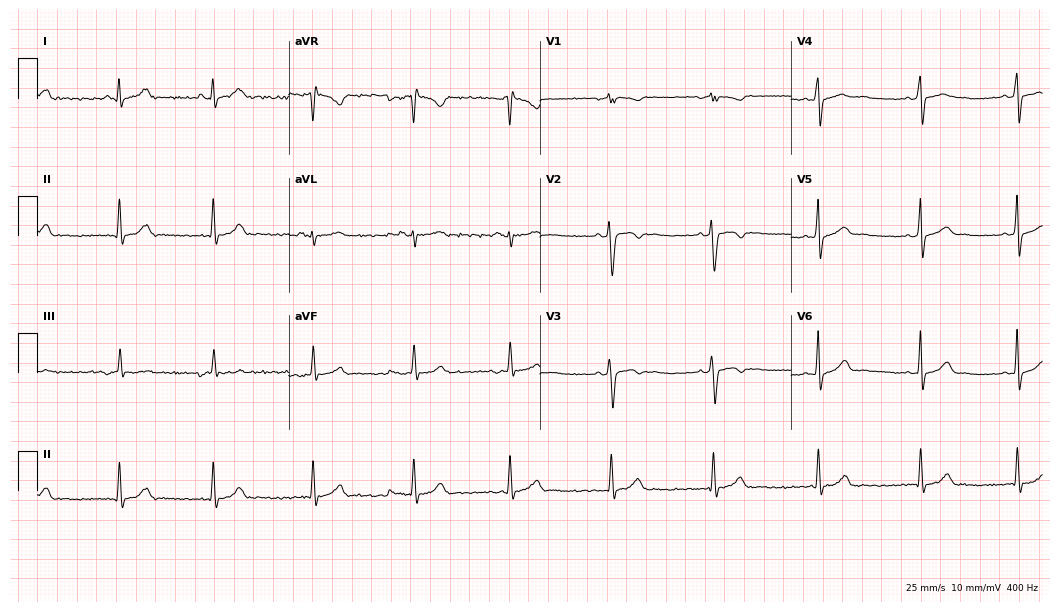
12-lead ECG (10.2-second recording at 400 Hz) from a female patient, 26 years old. Screened for six findings — first-degree AV block, right bundle branch block, left bundle branch block, sinus bradycardia, atrial fibrillation, sinus tachycardia — none is recorded. Findings outside these six are not listed.